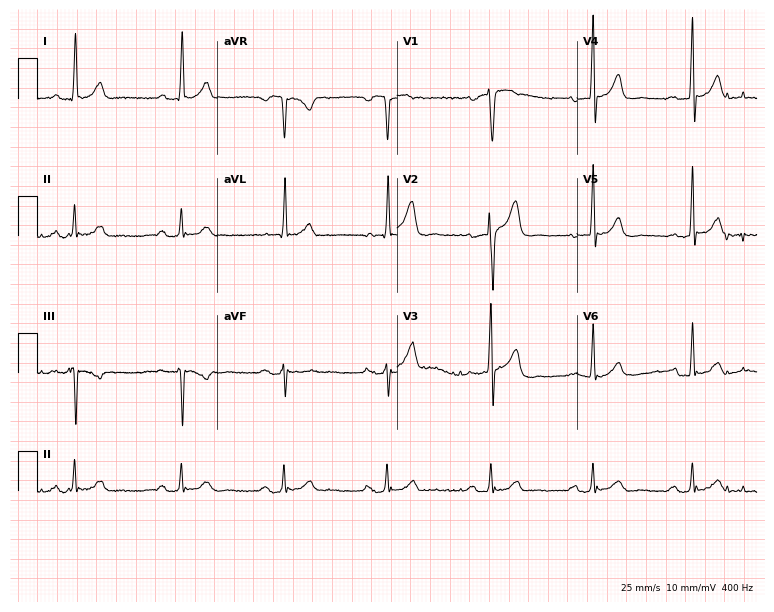
12-lead ECG from a 51-year-old male patient. Labelled as a normal ECG.